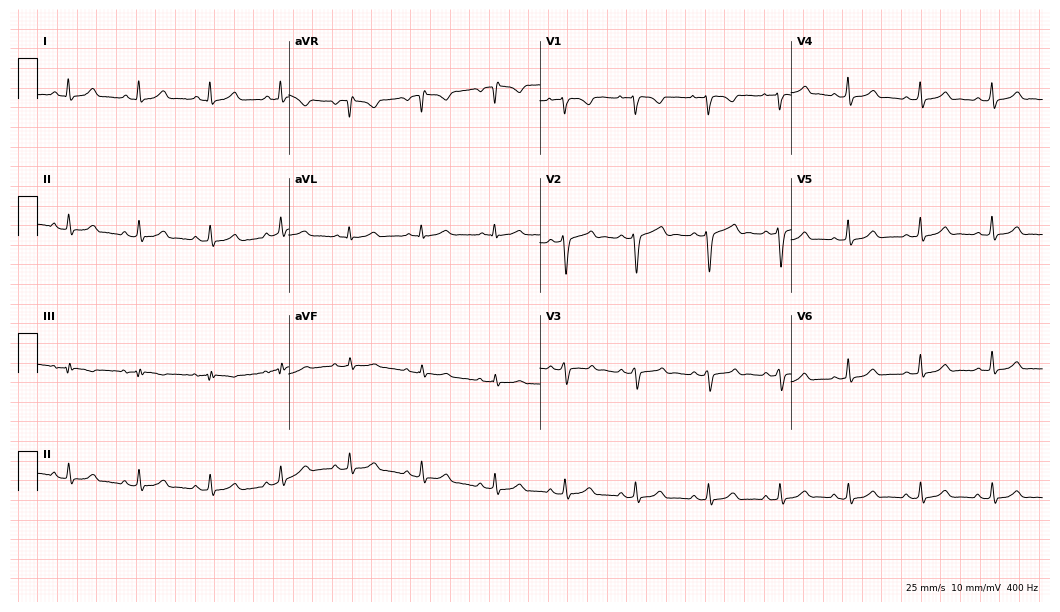
Electrocardiogram, a female, 24 years old. Overall reading on record: normal ECG.